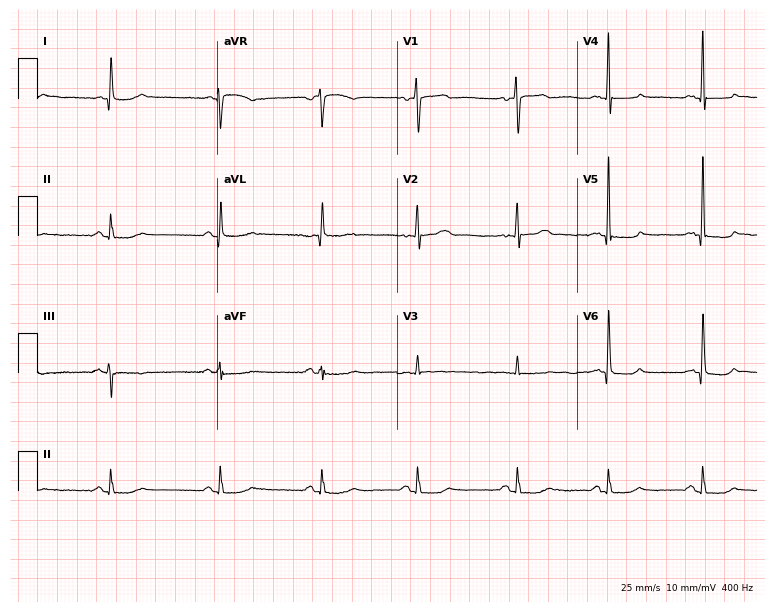
12-lead ECG from a 65-year-old woman. Screened for six findings — first-degree AV block, right bundle branch block, left bundle branch block, sinus bradycardia, atrial fibrillation, sinus tachycardia — none is recorded.